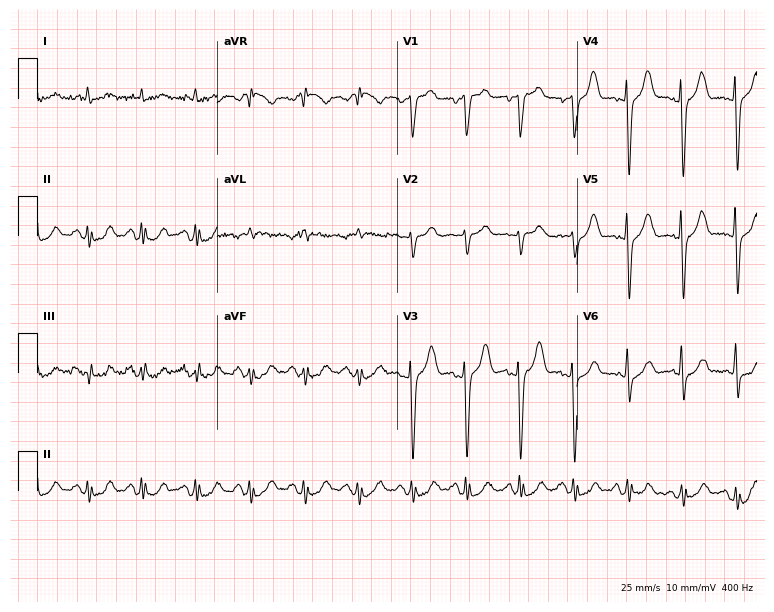
ECG (7.3-second recording at 400 Hz) — an 82-year-old man. Findings include sinus tachycardia (a sinus rate of 100 beats per minute or more).